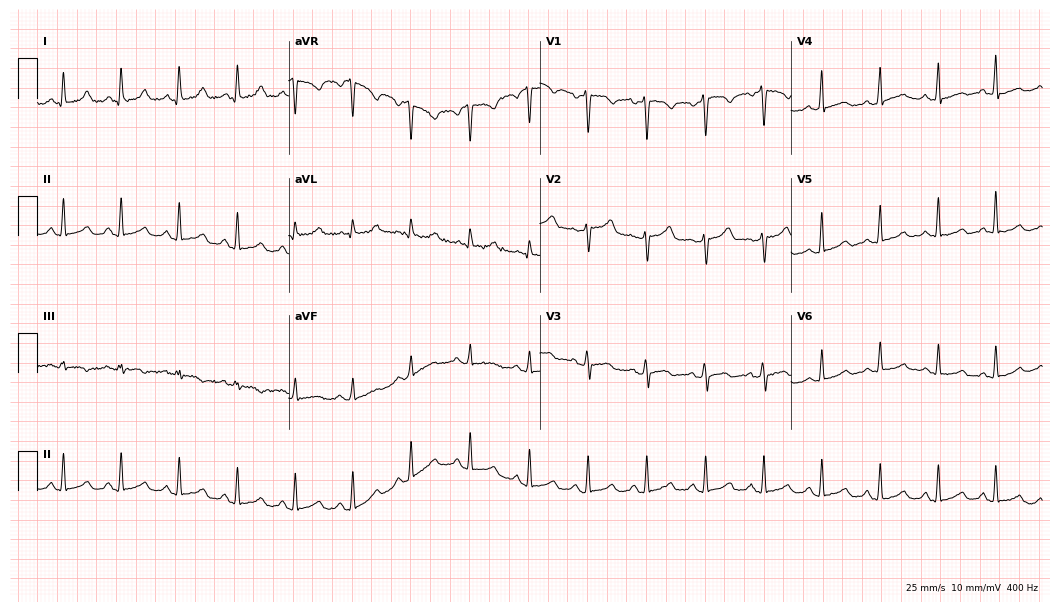
ECG (10.2-second recording at 400 Hz) — a female, 53 years old. Findings include sinus tachycardia (a sinus rate of 100 beats per minute or more).